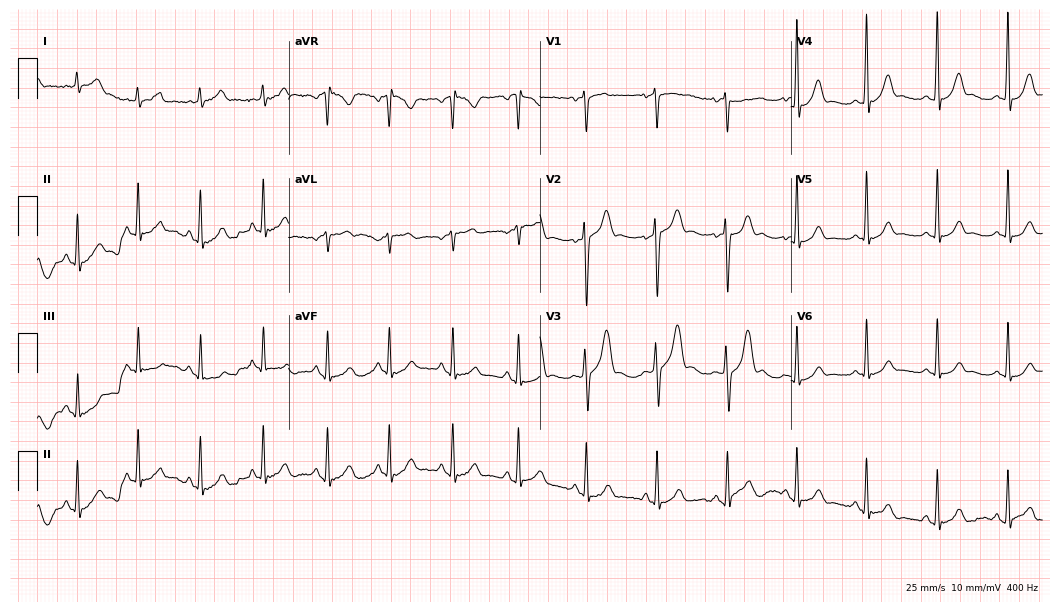
12-lead ECG from a 21-year-old man (10.2-second recording at 400 Hz). Recorded interpretation: within normal limits.